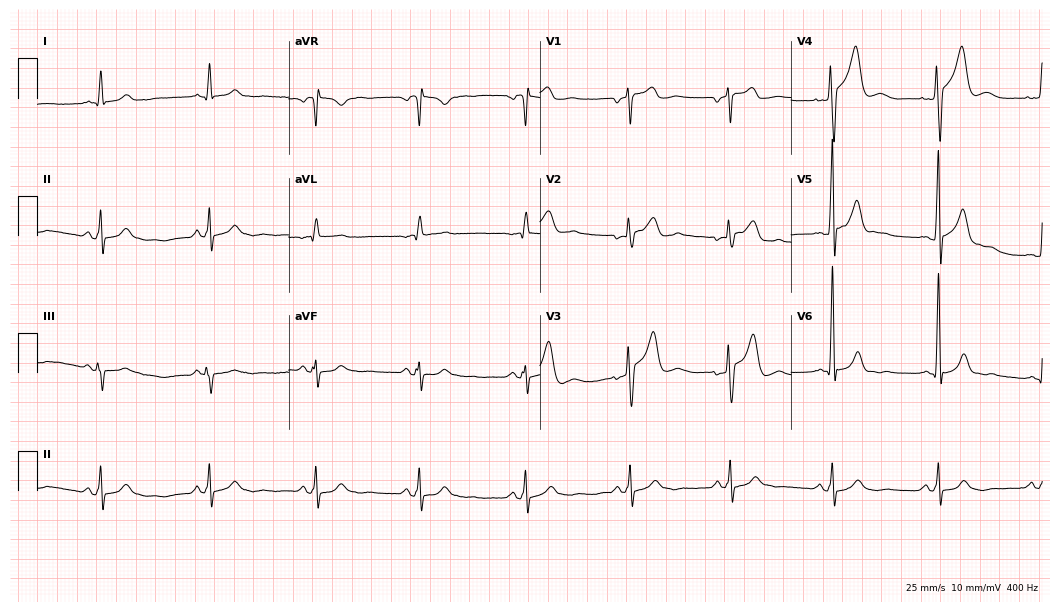
Electrocardiogram (10.2-second recording at 400 Hz), a man, 84 years old. Of the six screened findings (first-degree AV block, right bundle branch block, left bundle branch block, sinus bradycardia, atrial fibrillation, sinus tachycardia), none is recorded. Findings outside these six are not listed.